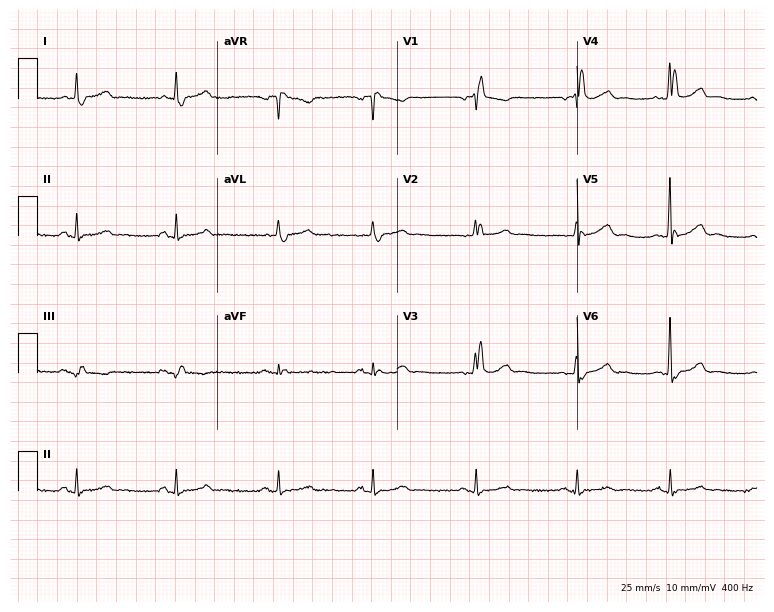
12-lead ECG from a man, 67 years old. Screened for six findings — first-degree AV block, right bundle branch block (RBBB), left bundle branch block (LBBB), sinus bradycardia, atrial fibrillation (AF), sinus tachycardia — none is recorded. Other findings, if any, are not listed.